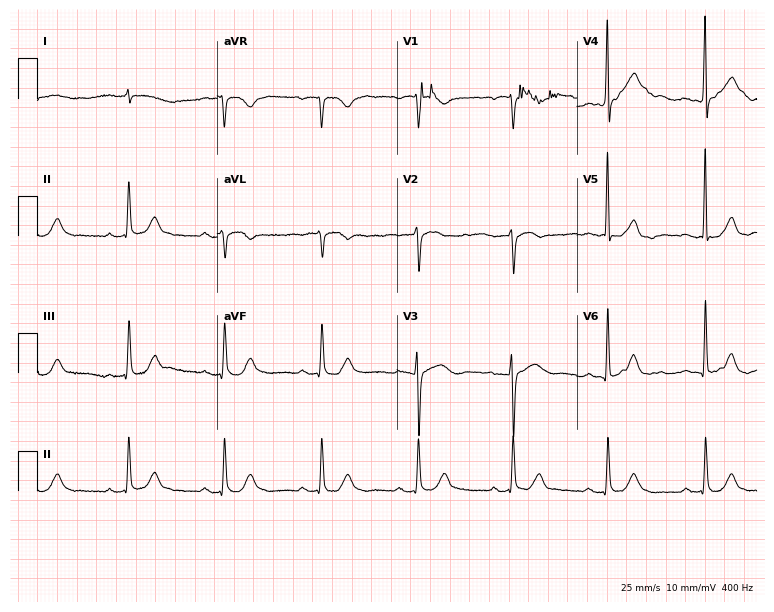
12-lead ECG (7.3-second recording at 400 Hz) from a woman, 82 years old. Labelled as a normal ECG.